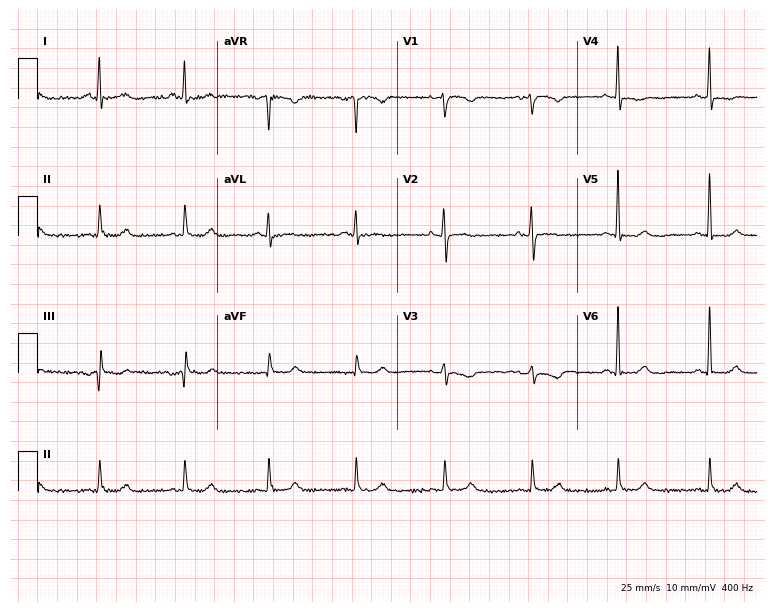
Electrocardiogram, a female, 55 years old. Of the six screened findings (first-degree AV block, right bundle branch block, left bundle branch block, sinus bradycardia, atrial fibrillation, sinus tachycardia), none is recorded. Only these six findings were labelled.